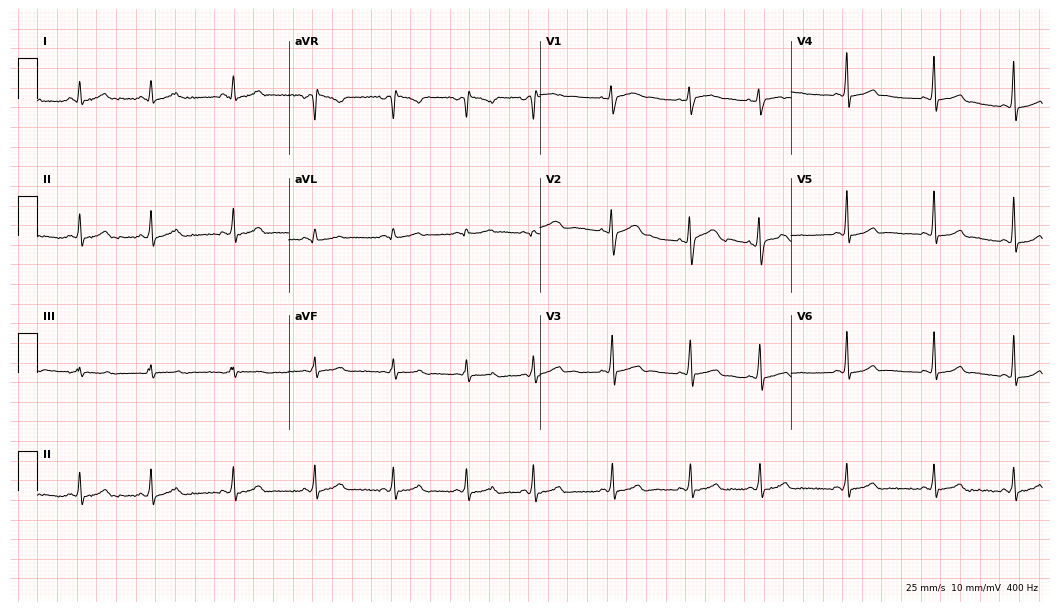
ECG — a female patient, 29 years old. Labelled as a normal ECG.